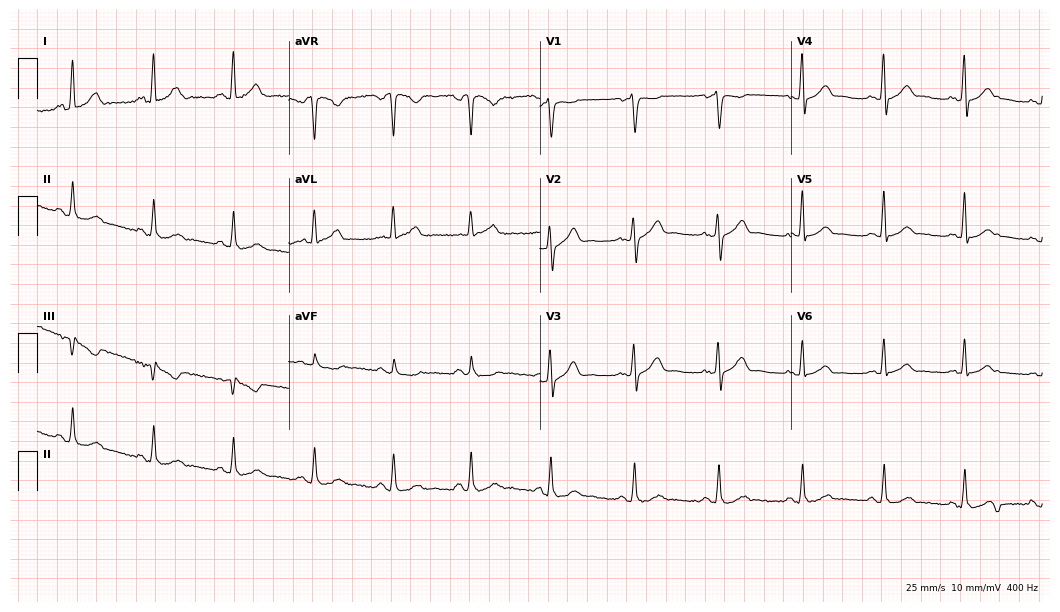
Resting 12-lead electrocardiogram. Patient: a woman, 41 years old. Read as a normal ECG.